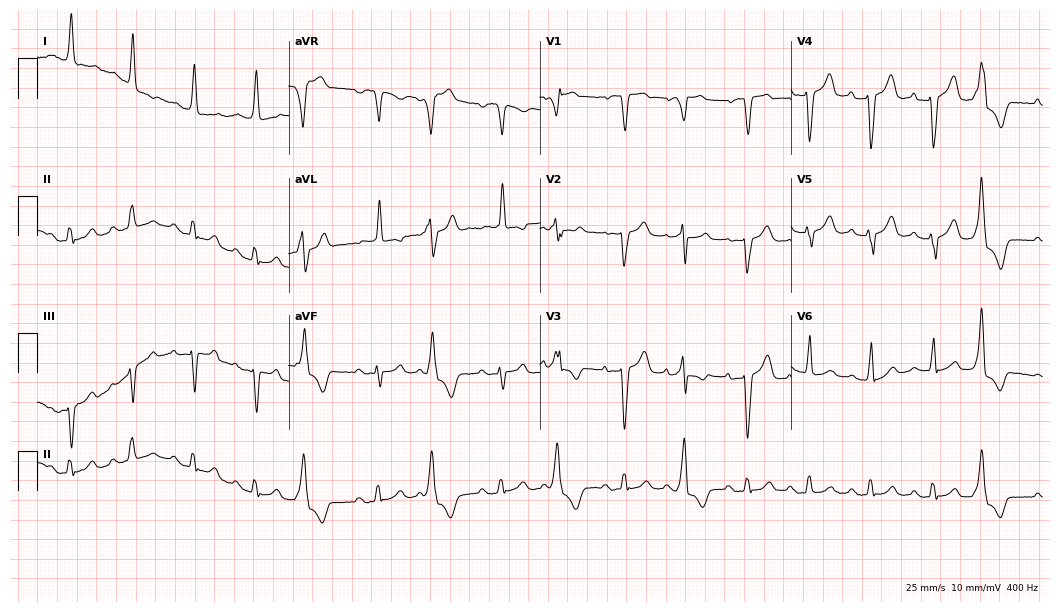
ECG (10.2-second recording at 400 Hz) — a female, 85 years old. Screened for six findings — first-degree AV block, right bundle branch block, left bundle branch block, sinus bradycardia, atrial fibrillation, sinus tachycardia — none is recorded. Only these six findings were labelled.